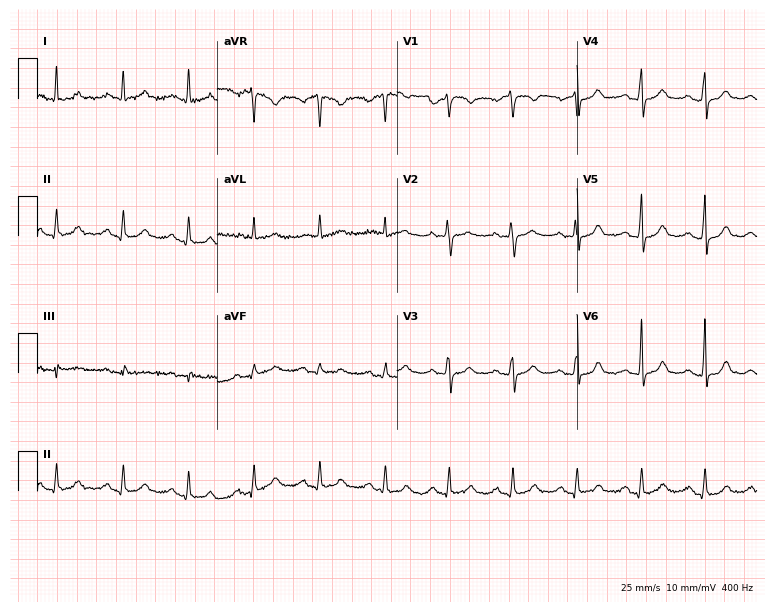
12-lead ECG from a 76-year-old female patient (7.3-second recording at 400 Hz). Recorded interpretation: within normal limits.